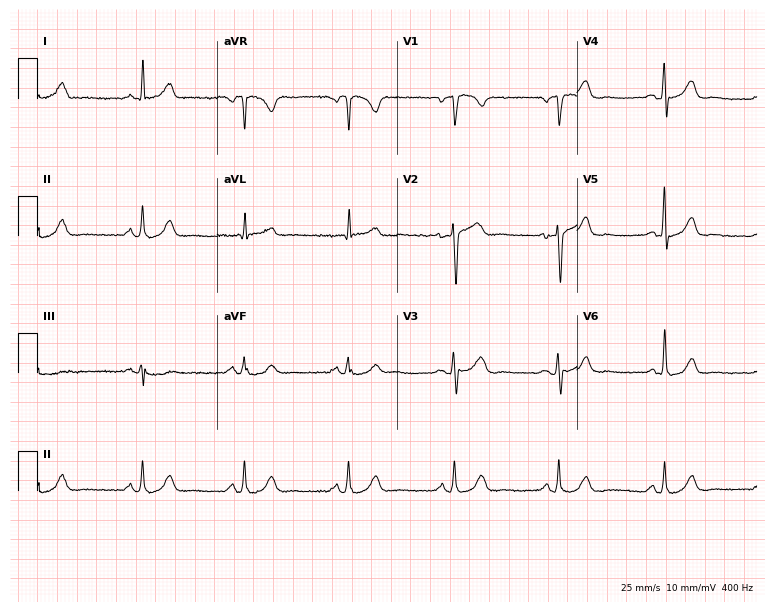
Electrocardiogram (7.3-second recording at 400 Hz), a man, 53 years old. Of the six screened findings (first-degree AV block, right bundle branch block, left bundle branch block, sinus bradycardia, atrial fibrillation, sinus tachycardia), none is recorded.